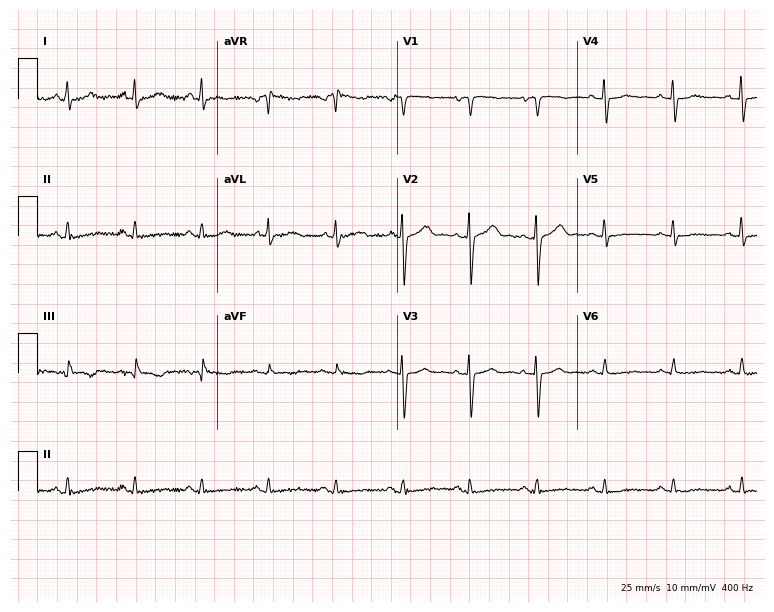
12-lead ECG from a female patient, 58 years old (7.3-second recording at 400 Hz). No first-degree AV block, right bundle branch block, left bundle branch block, sinus bradycardia, atrial fibrillation or sinus tachycardia recorded for this tracing.